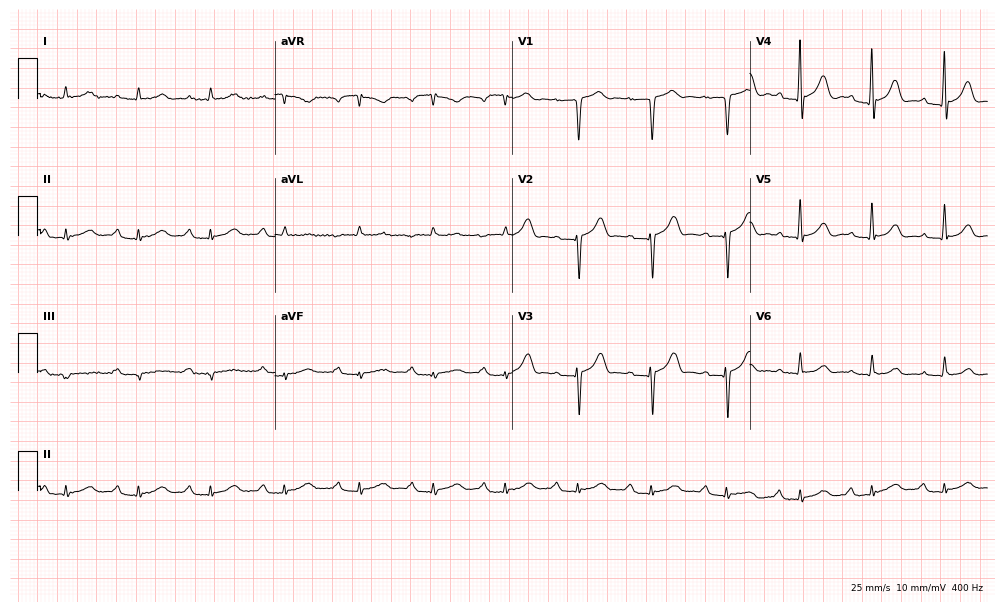
12-lead ECG from a man, 79 years old (9.7-second recording at 400 Hz). Shows first-degree AV block.